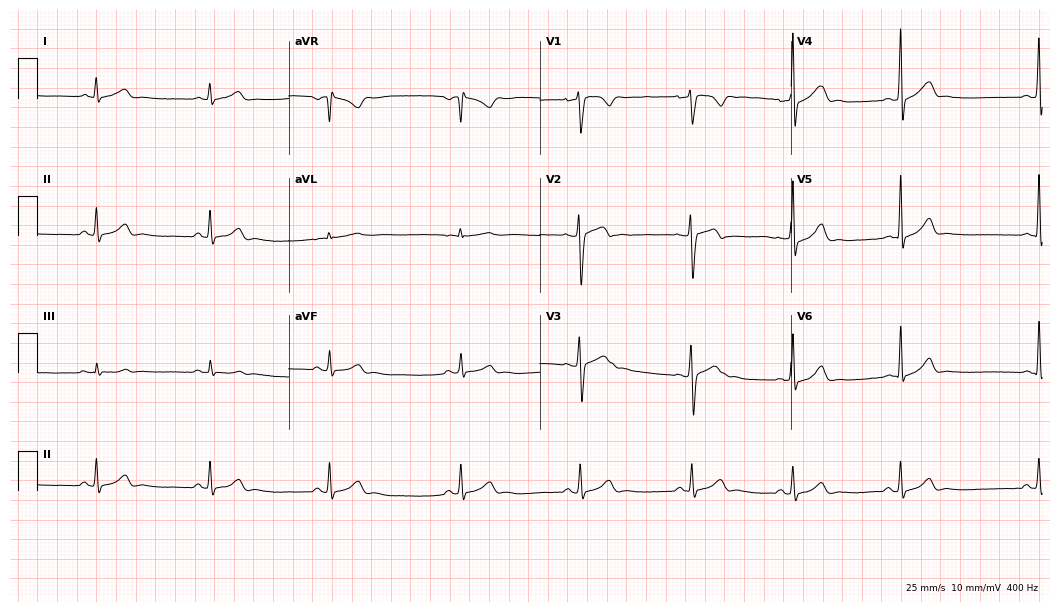
ECG (10.2-second recording at 400 Hz) — a male patient, 22 years old. Screened for six findings — first-degree AV block, right bundle branch block (RBBB), left bundle branch block (LBBB), sinus bradycardia, atrial fibrillation (AF), sinus tachycardia — none is recorded. Only these six findings were labelled.